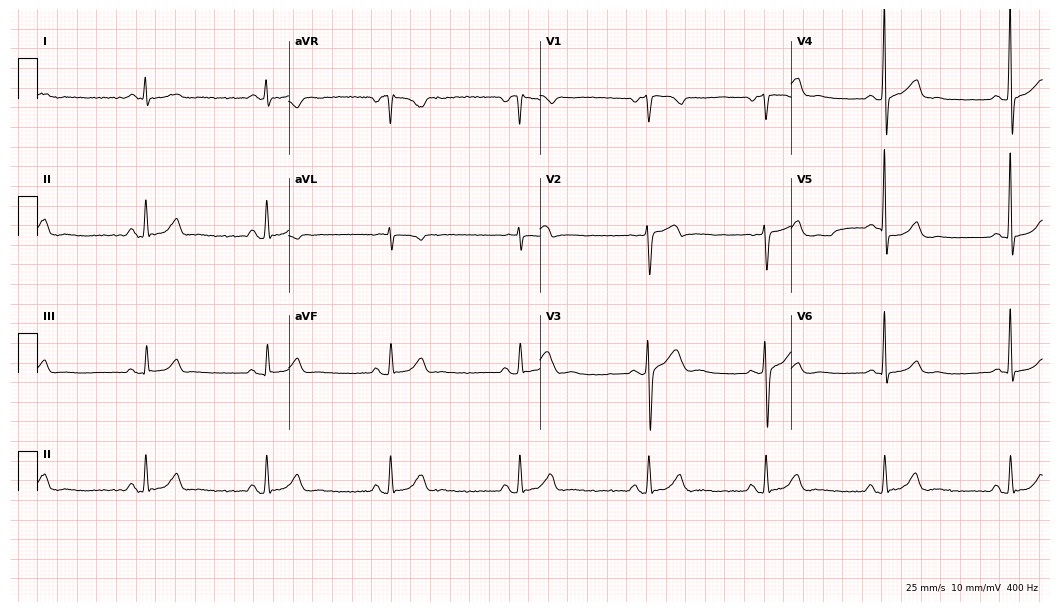
Standard 12-lead ECG recorded from a male patient, 45 years old. The tracing shows sinus bradycardia (a sinus rate of 50 beats per minute or less).